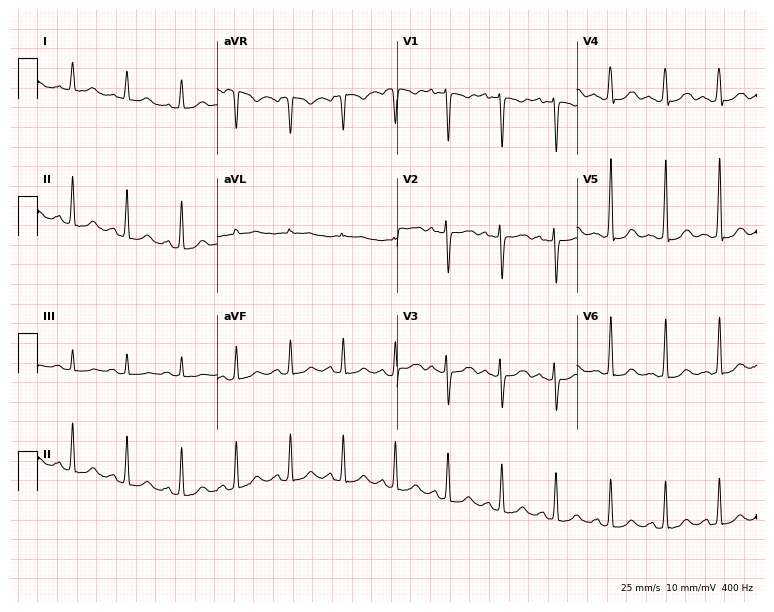
Resting 12-lead electrocardiogram. Patient: a 28-year-old female. The tracing shows sinus tachycardia (a sinus rate of 100 beats per minute or more).